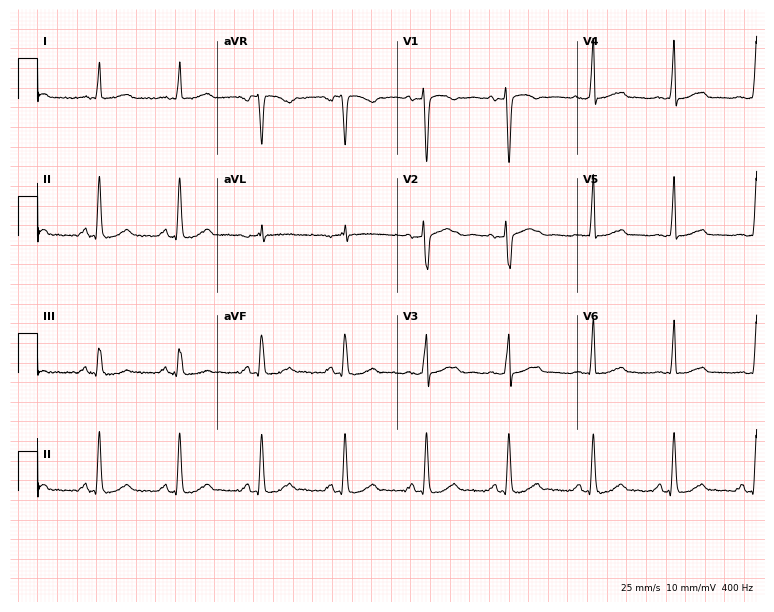
12-lead ECG from a 47-year-old female. Recorded interpretation: within normal limits.